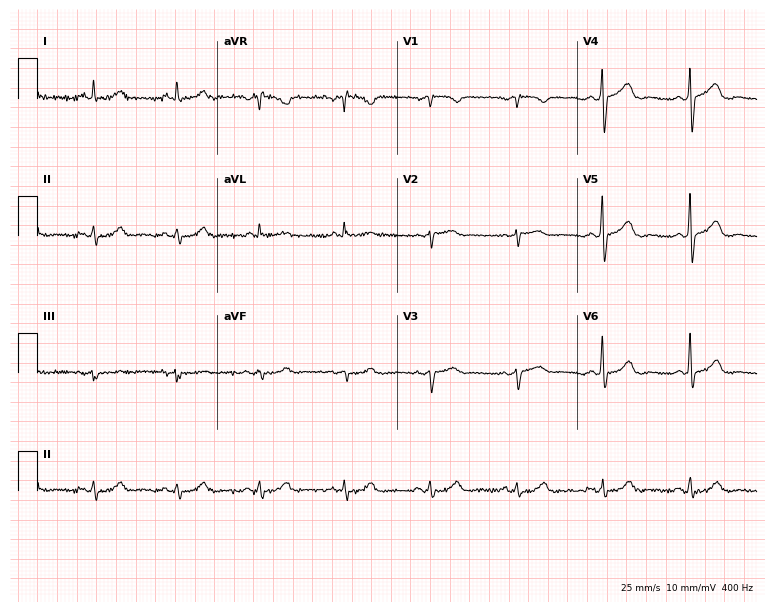
Resting 12-lead electrocardiogram. Patient: a 61-year-old man. None of these six findings is recorded: first-degree AV block, right bundle branch block, left bundle branch block, sinus bradycardia, atrial fibrillation, sinus tachycardia. Other findings, if any, are not listed.